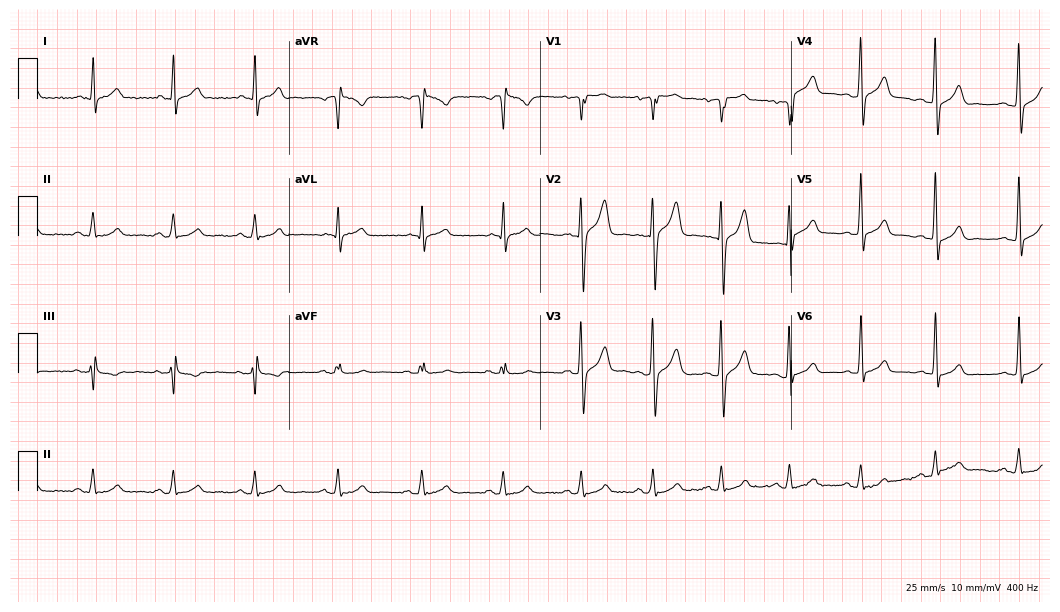
ECG — a 31-year-old man. Labelled as a normal ECG.